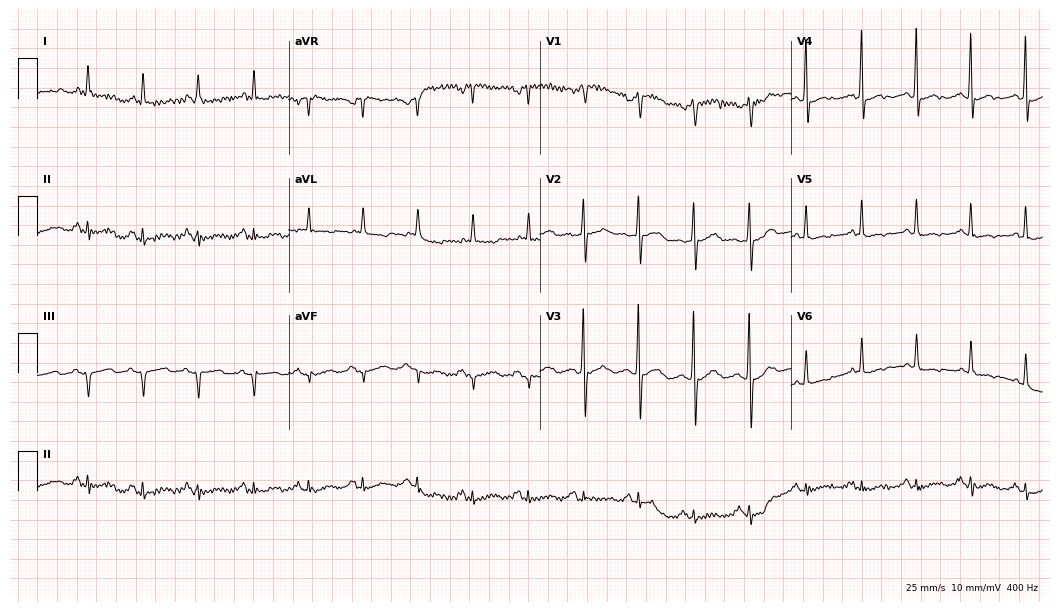
Resting 12-lead electrocardiogram (10.2-second recording at 400 Hz). Patient: an 80-year-old female. None of these six findings is recorded: first-degree AV block, right bundle branch block, left bundle branch block, sinus bradycardia, atrial fibrillation, sinus tachycardia. Findings outside these six are not listed.